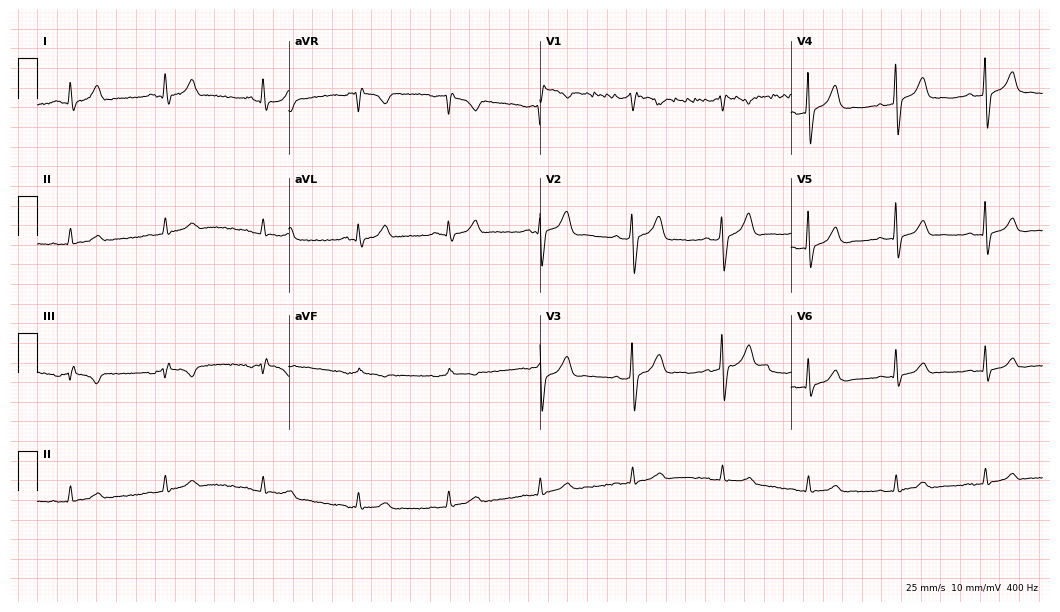
12-lead ECG from a 57-year-old man (10.2-second recording at 400 Hz). No first-degree AV block, right bundle branch block, left bundle branch block, sinus bradycardia, atrial fibrillation or sinus tachycardia recorded for this tracing.